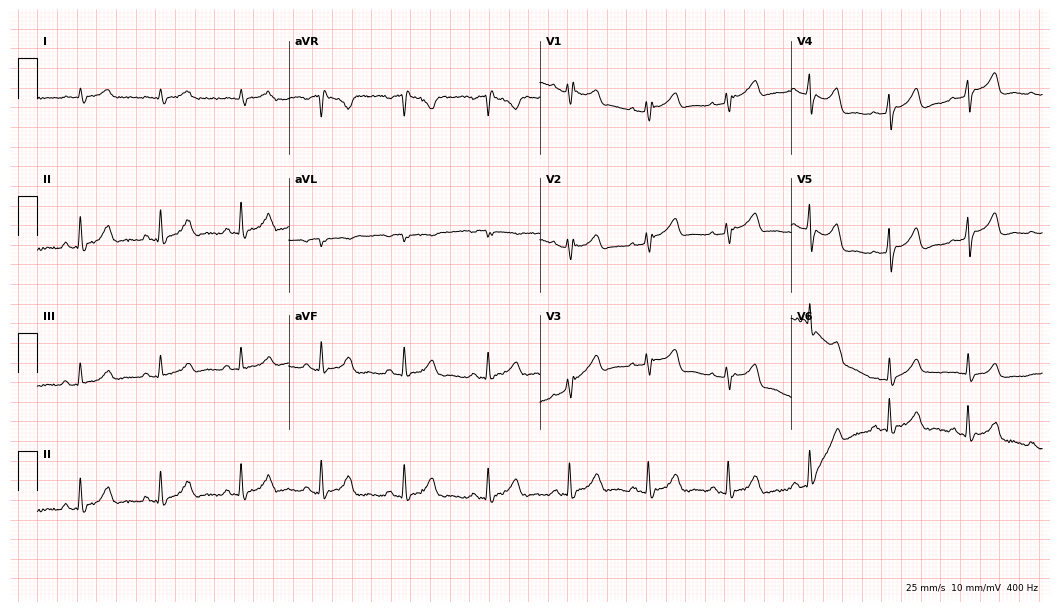
Resting 12-lead electrocardiogram. Patient: a 76-year-old man. None of these six findings is recorded: first-degree AV block, right bundle branch block, left bundle branch block, sinus bradycardia, atrial fibrillation, sinus tachycardia. Findings outside these six are not listed.